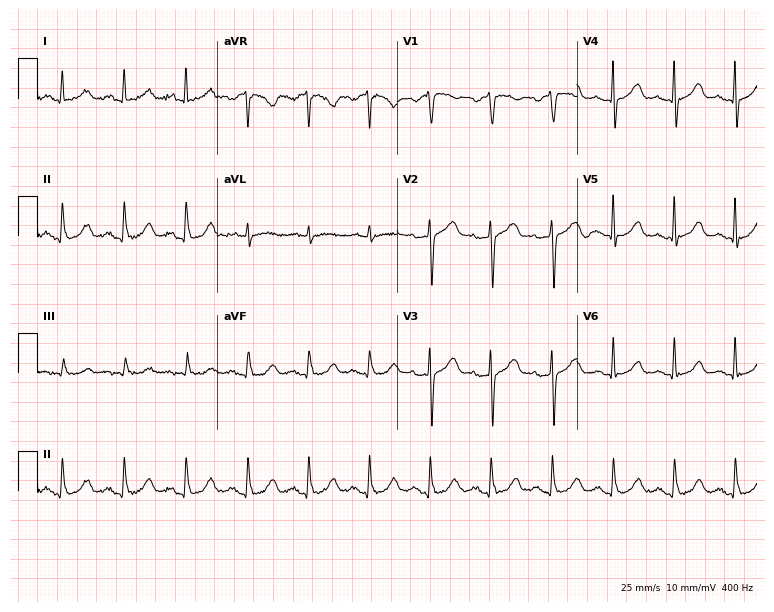
ECG (7.3-second recording at 400 Hz) — a woman, 76 years old. Labelled as a normal ECG.